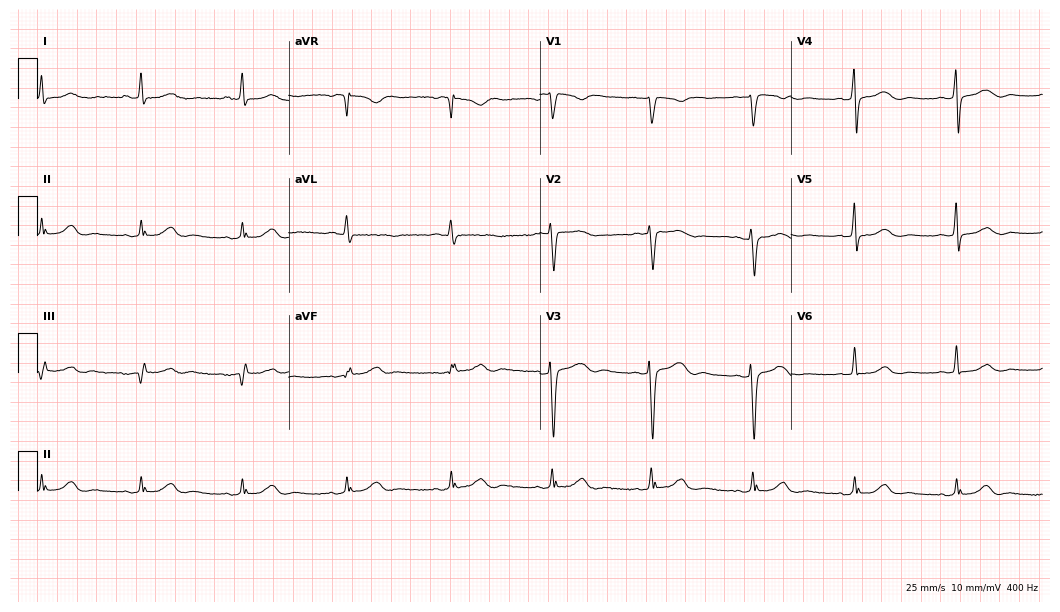
ECG — a female patient, 49 years old. Labelled as a normal ECG.